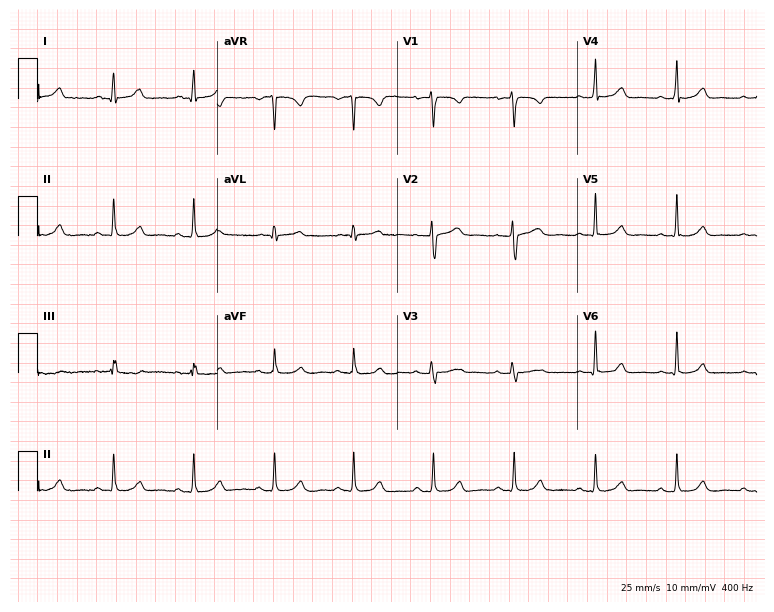
ECG (7.3-second recording at 400 Hz) — a female patient, 42 years old. Labelled as a normal ECG.